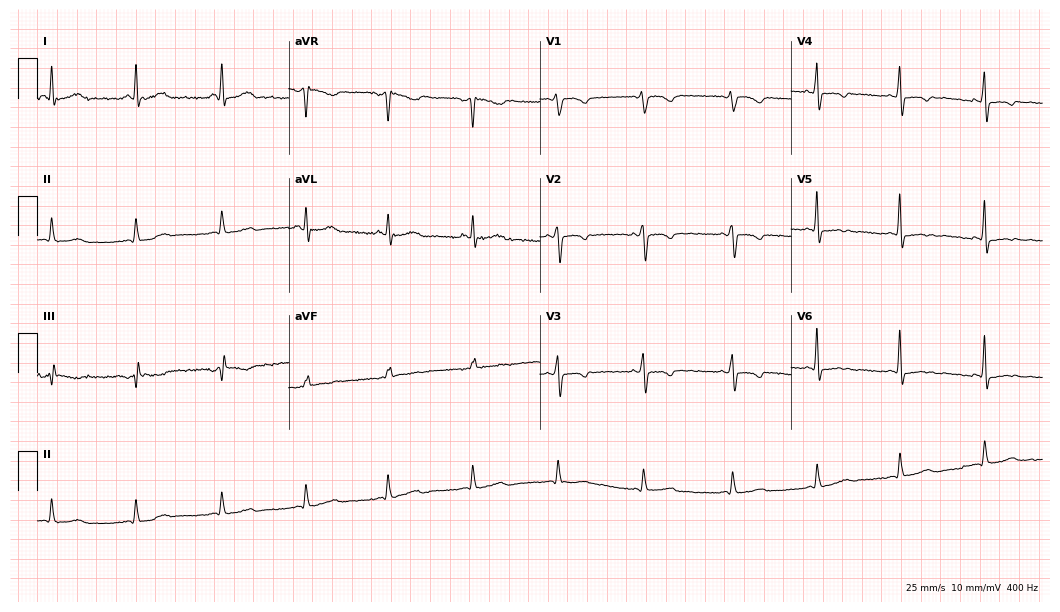
Electrocardiogram, a 52-year-old female. Of the six screened findings (first-degree AV block, right bundle branch block (RBBB), left bundle branch block (LBBB), sinus bradycardia, atrial fibrillation (AF), sinus tachycardia), none is recorded. Findings outside these six are not listed.